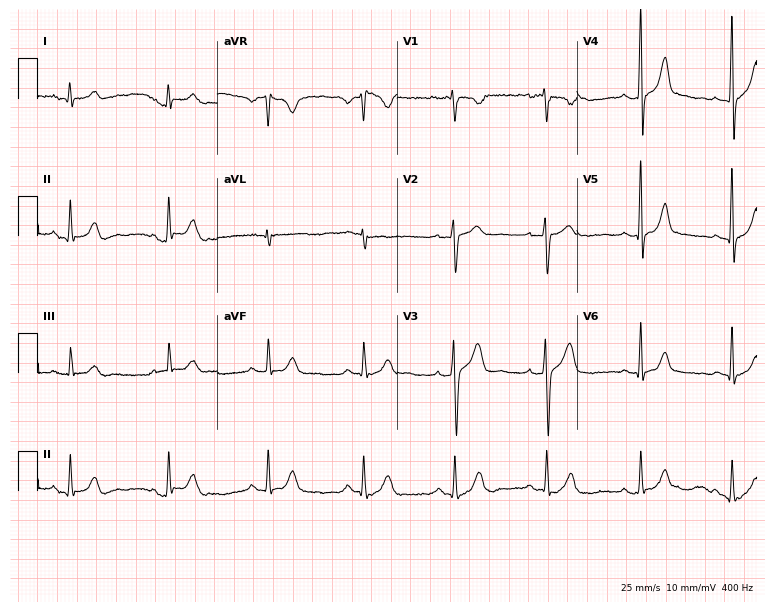
ECG — a 23-year-old man. Labelled as a normal ECG.